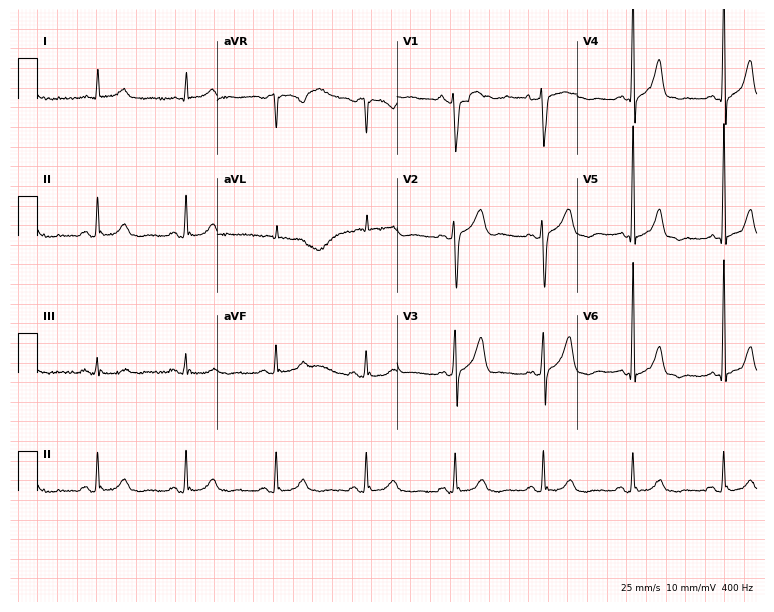
Resting 12-lead electrocardiogram (7.3-second recording at 400 Hz). Patient: a male, 73 years old. Read as a normal ECG.